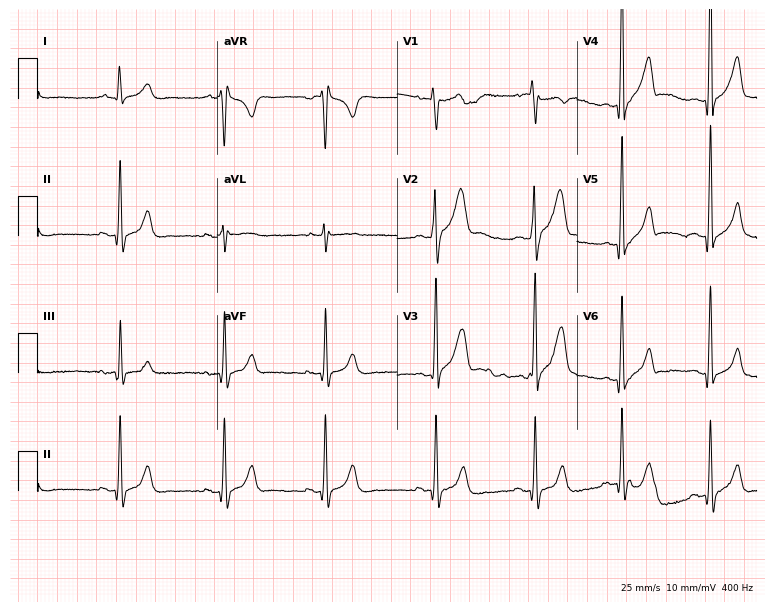
Standard 12-lead ECG recorded from a 23-year-old male patient. None of these six findings is recorded: first-degree AV block, right bundle branch block, left bundle branch block, sinus bradycardia, atrial fibrillation, sinus tachycardia.